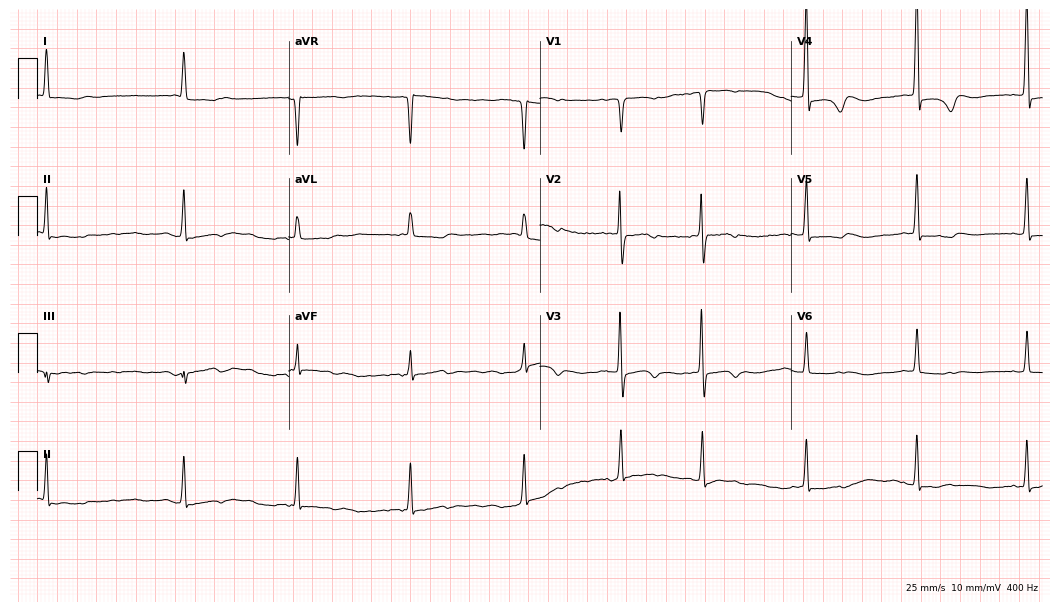
12-lead ECG from a 68-year-old female patient. Findings include atrial fibrillation.